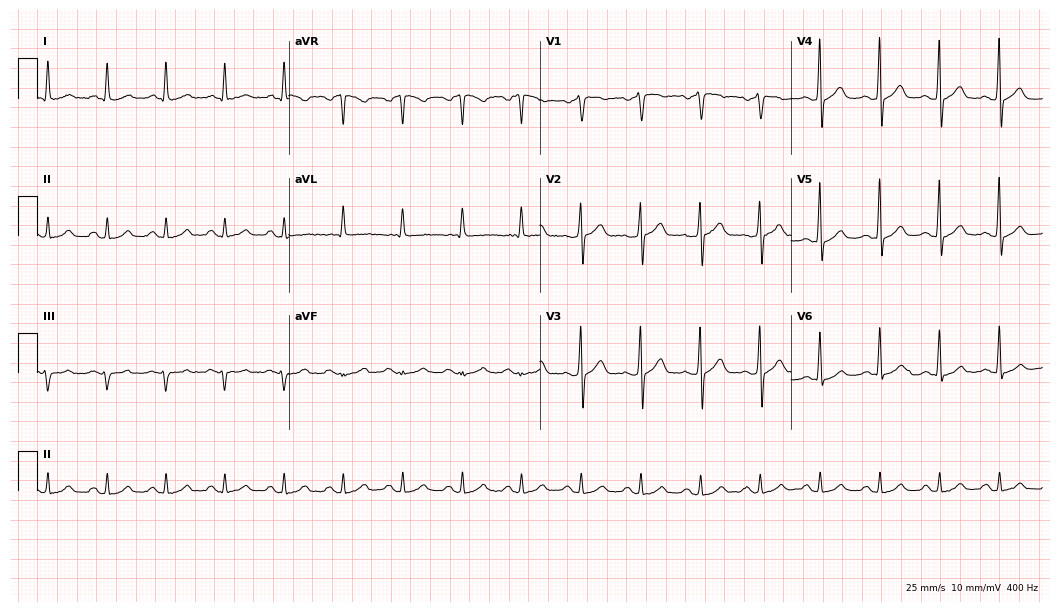
ECG — a male patient, 53 years old. Screened for six findings — first-degree AV block, right bundle branch block, left bundle branch block, sinus bradycardia, atrial fibrillation, sinus tachycardia — none is recorded.